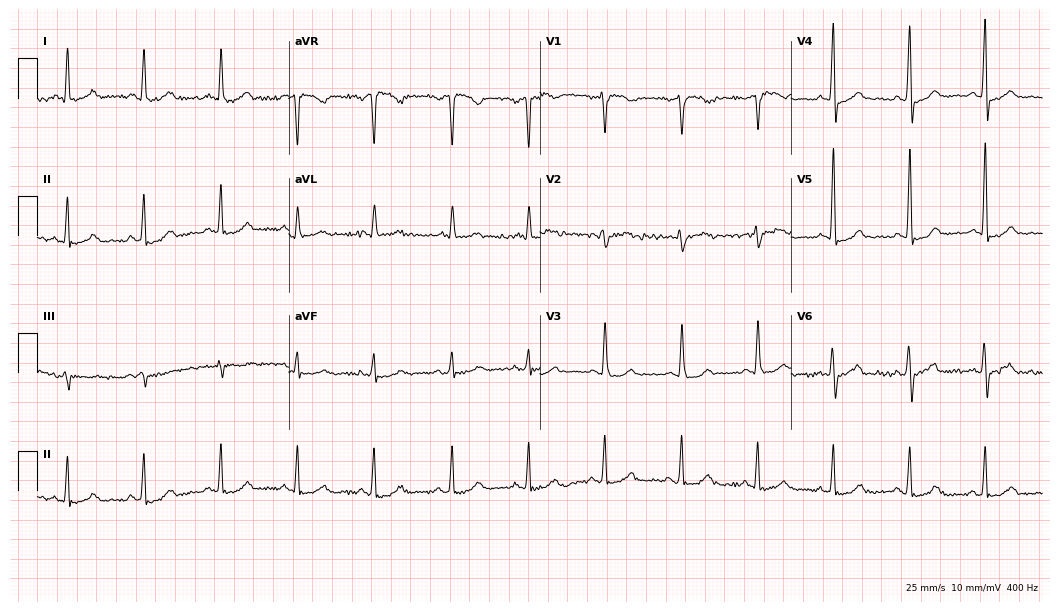
12-lead ECG (10.2-second recording at 400 Hz) from a woman, 68 years old. Labelled as a normal ECG.